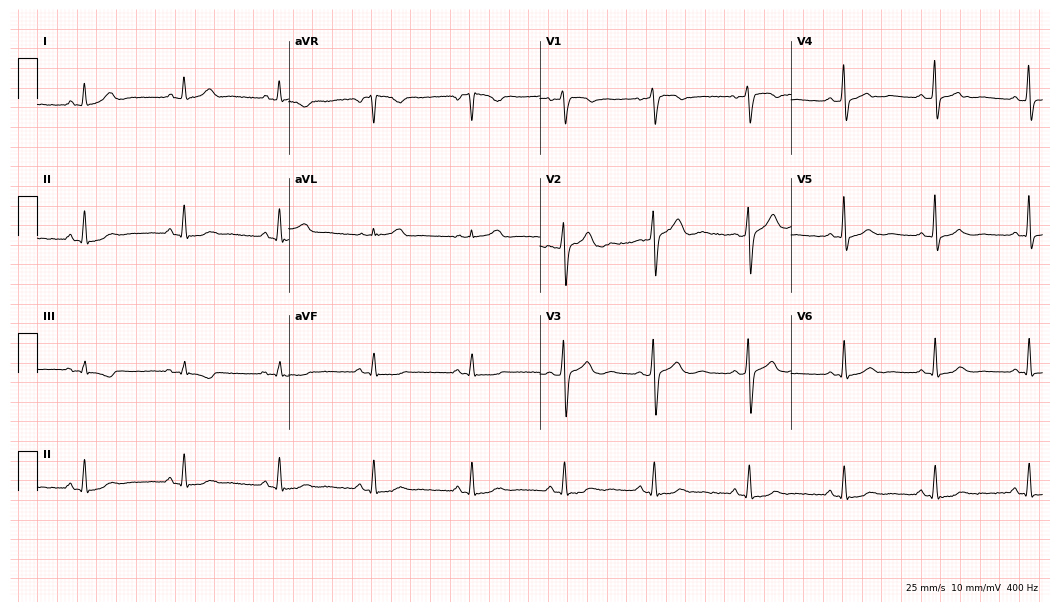
Resting 12-lead electrocardiogram. Patient: a 40-year-old female. Read as a normal ECG.